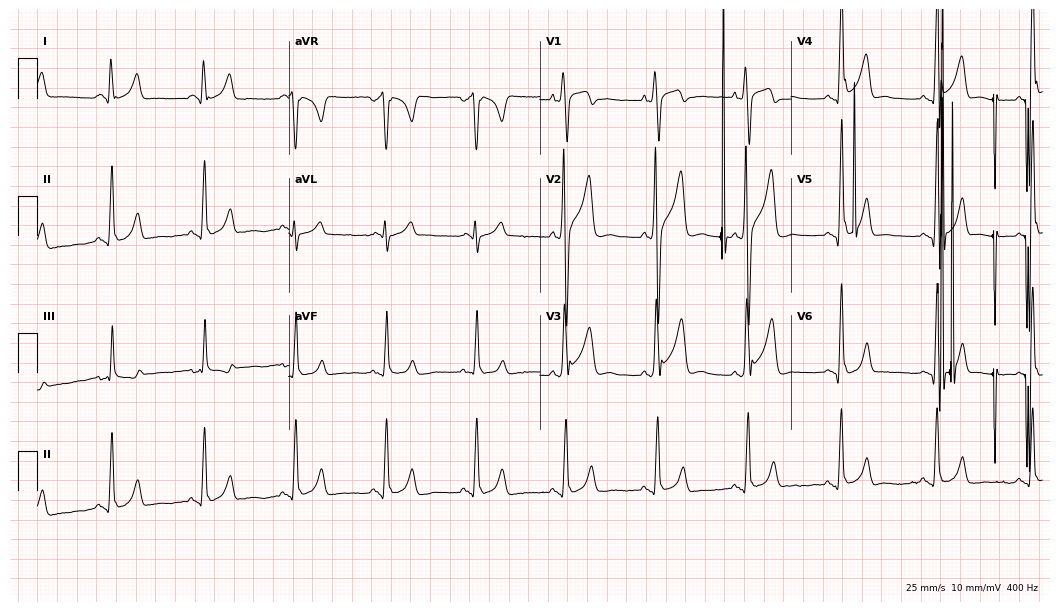
Electrocardiogram, a 27-year-old male. Of the six screened findings (first-degree AV block, right bundle branch block (RBBB), left bundle branch block (LBBB), sinus bradycardia, atrial fibrillation (AF), sinus tachycardia), none is recorded. Findings outside these six are not listed.